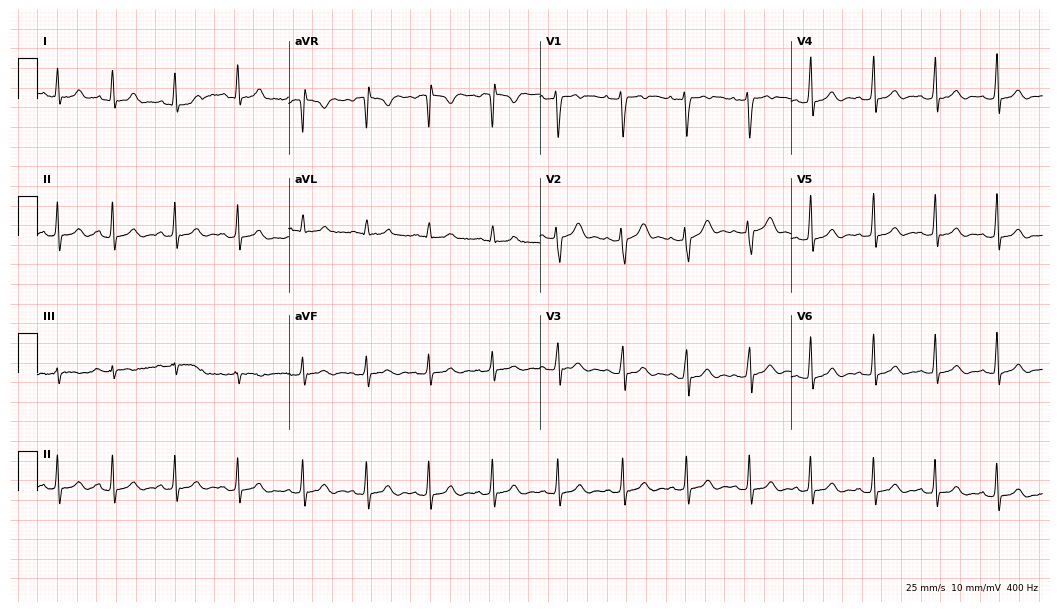
Resting 12-lead electrocardiogram. Patient: a 23-year-old female. Read as a normal ECG.